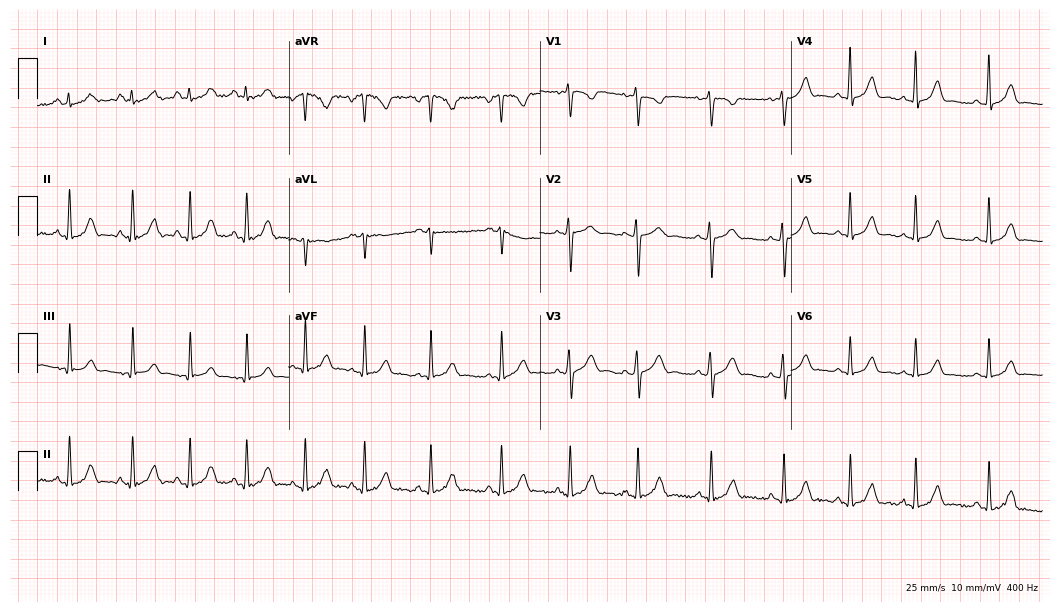
Resting 12-lead electrocardiogram. Patient: a female, 22 years old. Read as a normal ECG.